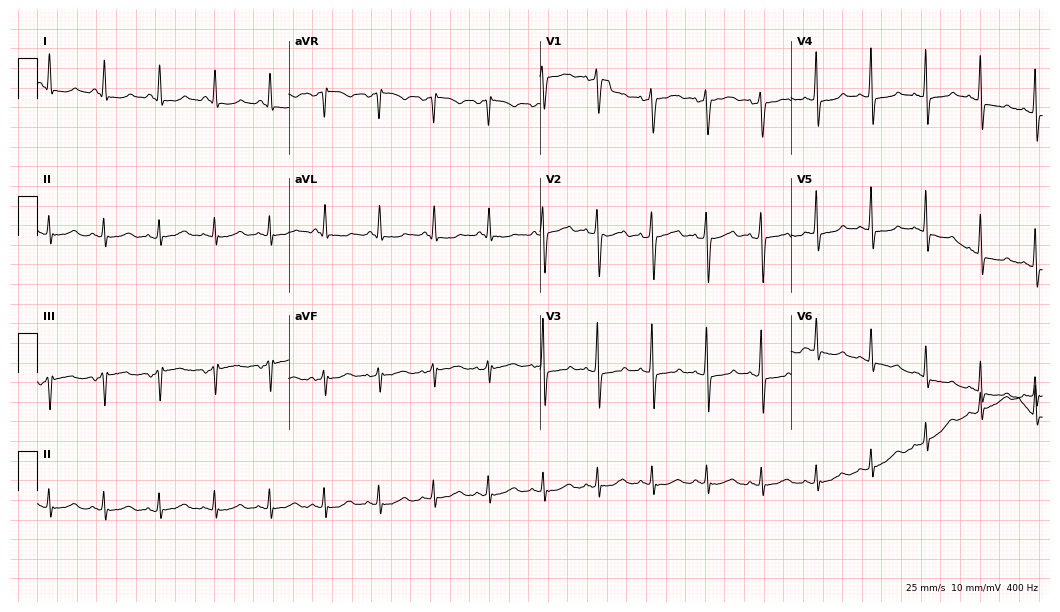
Standard 12-lead ECG recorded from a woman, 63 years old (10.2-second recording at 400 Hz). The tracing shows sinus tachycardia (a sinus rate of 100 beats per minute or more).